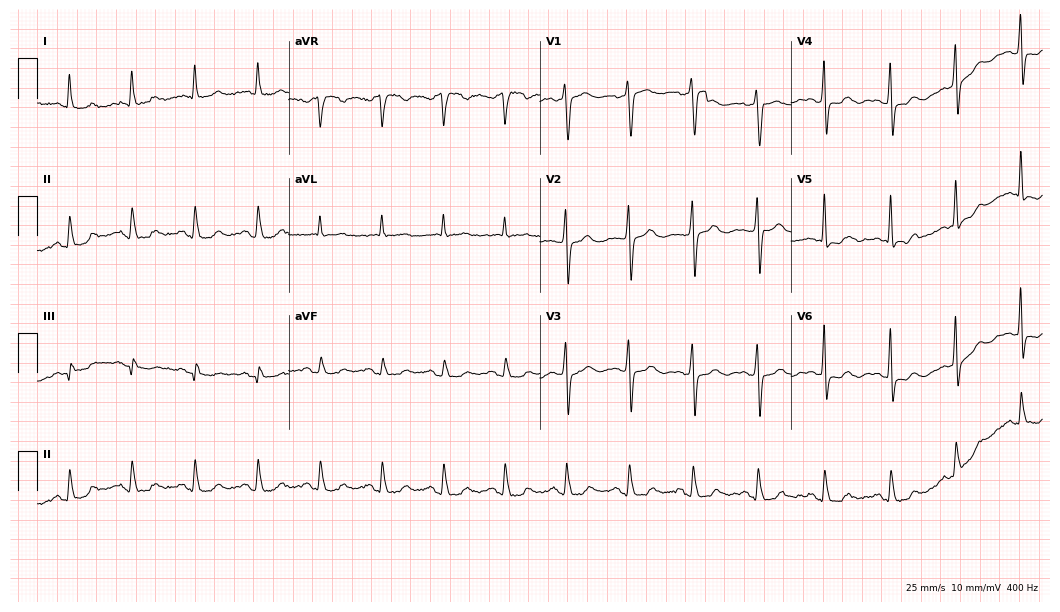
ECG (10.2-second recording at 400 Hz) — a female patient, 64 years old. Screened for six findings — first-degree AV block, right bundle branch block (RBBB), left bundle branch block (LBBB), sinus bradycardia, atrial fibrillation (AF), sinus tachycardia — none is recorded.